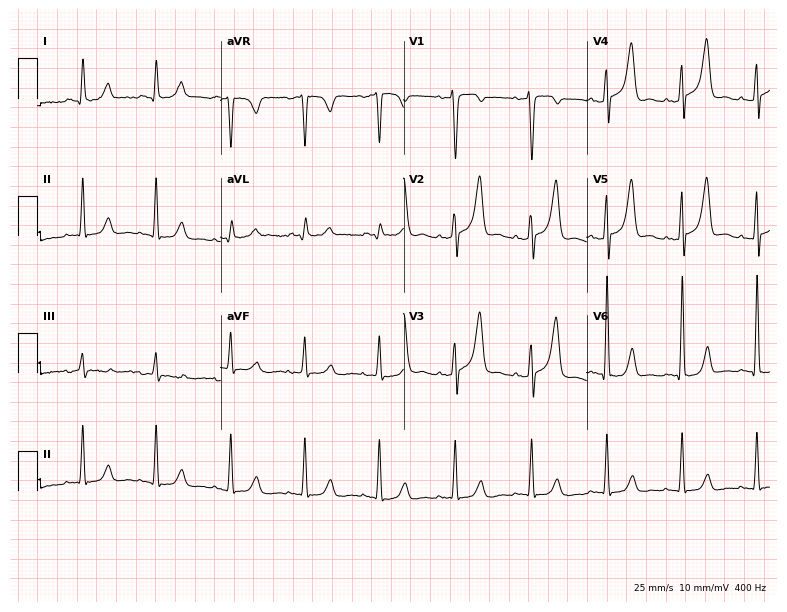
ECG — a male patient, 46 years old. Screened for six findings — first-degree AV block, right bundle branch block, left bundle branch block, sinus bradycardia, atrial fibrillation, sinus tachycardia — none is recorded. Findings outside these six are not listed.